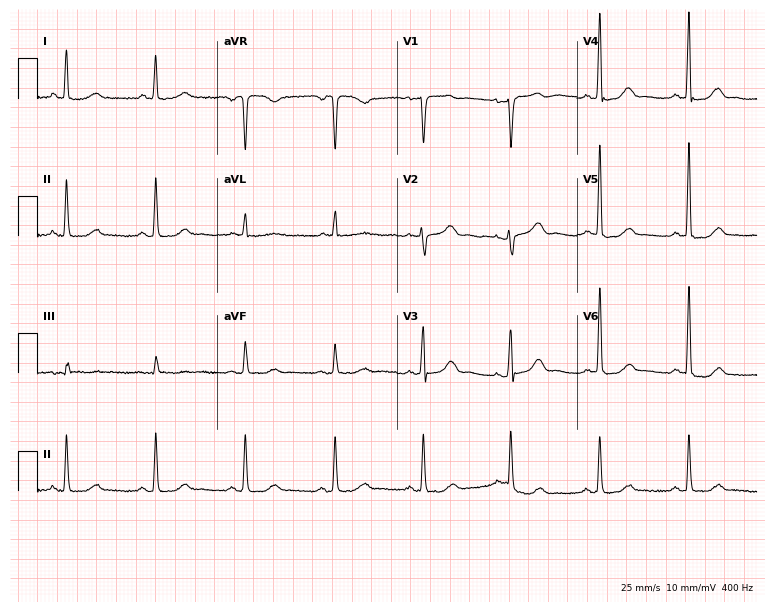
ECG (7.3-second recording at 400 Hz) — a female patient, 70 years old. Labelled as a normal ECG.